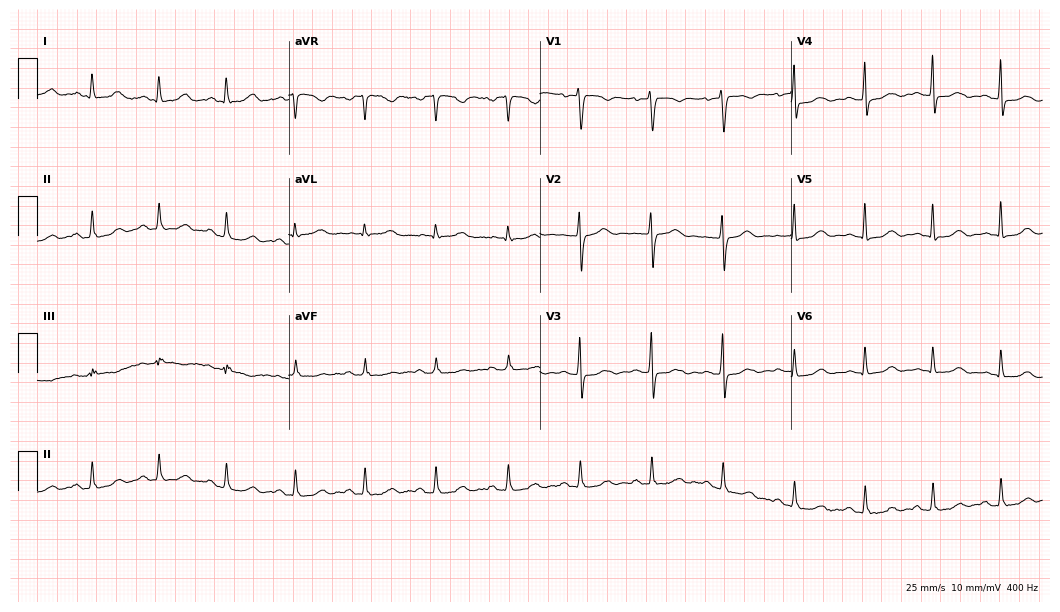
Electrocardiogram (10.2-second recording at 400 Hz), a 43-year-old woman. Of the six screened findings (first-degree AV block, right bundle branch block, left bundle branch block, sinus bradycardia, atrial fibrillation, sinus tachycardia), none is recorded. Other findings, if any, are not listed.